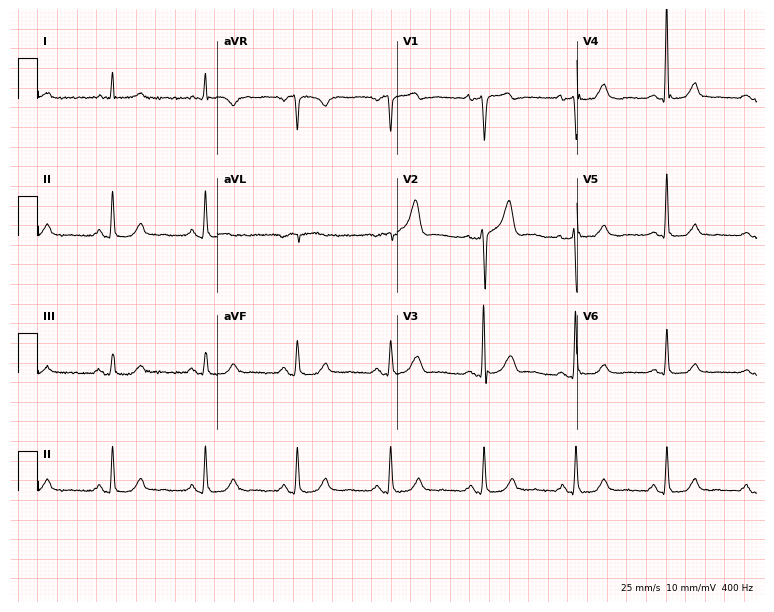
Electrocardiogram (7.3-second recording at 400 Hz), a 59-year-old man. Overall reading on record: normal ECG.